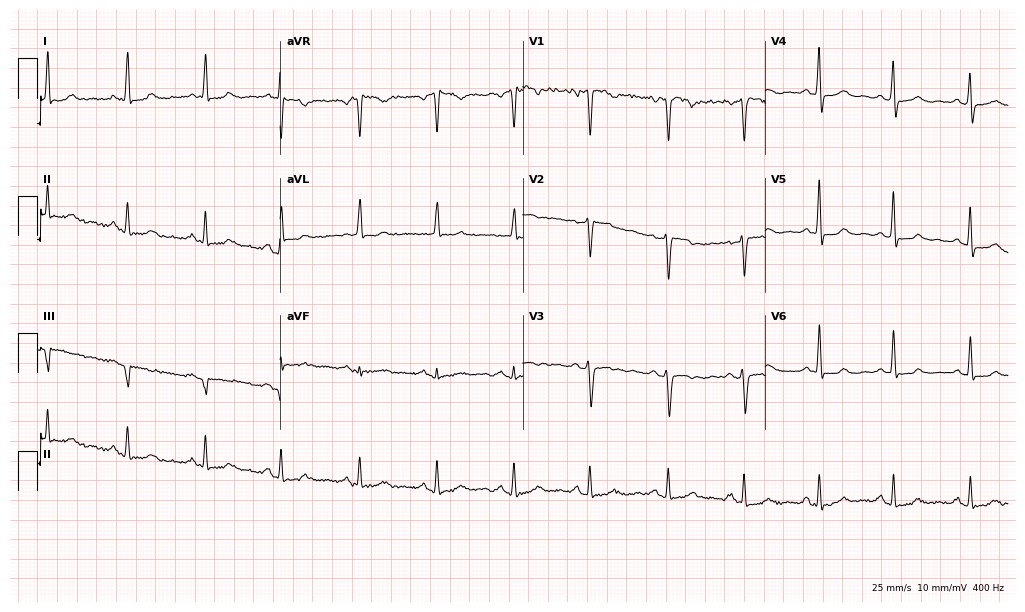
Standard 12-lead ECG recorded from a 45-year-old woman (9.9-second recording at 400 Hz). None of these six findings is recorded: first-degree AV block, right bundle branch block, left bundle branch block, sinus bradycardia, atrial fibrillation, sinus tachycardia.